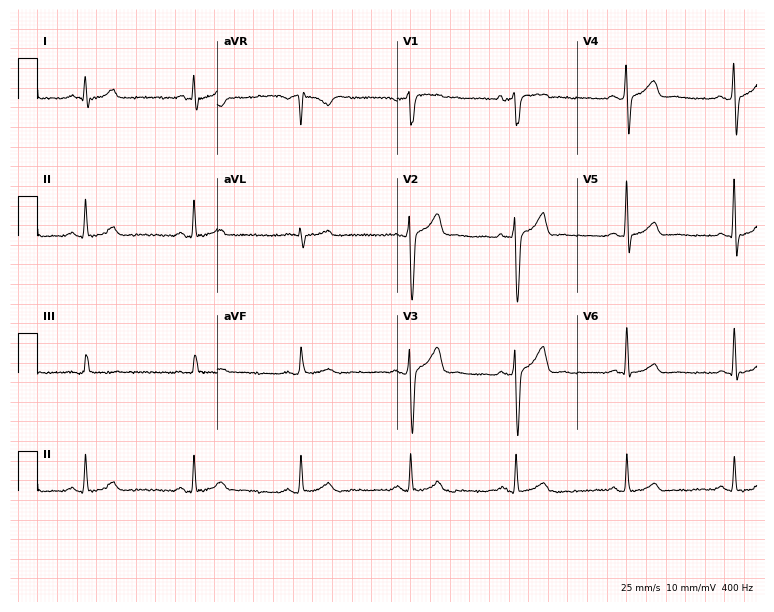
Resting 12-lead electrocardiogram (7.3-second recording at 400 Hz). Patient: a 37-year-old male. Read as a normal ECG.